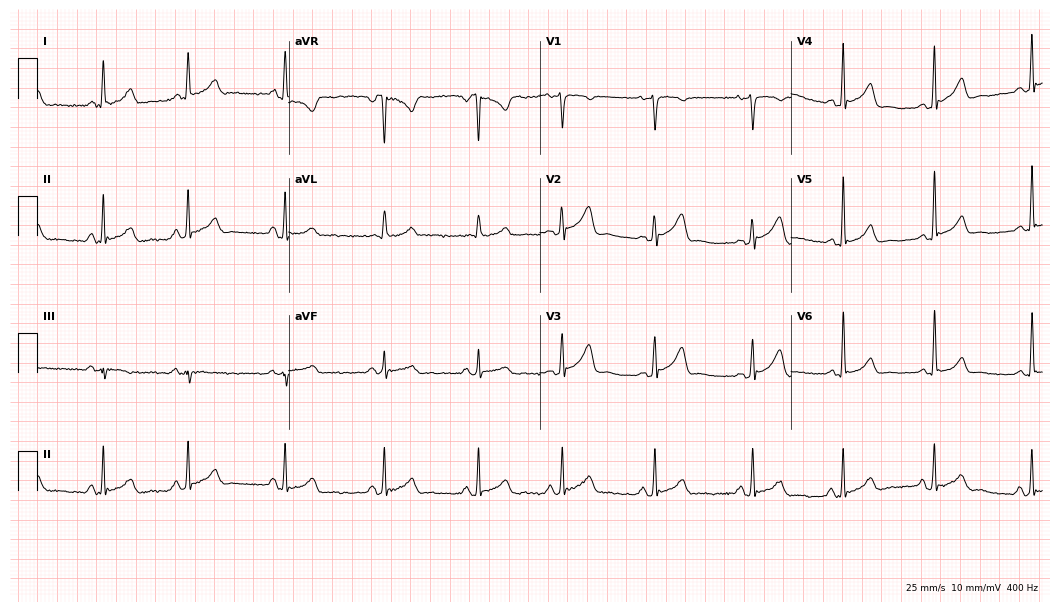
ECG — a 28-year-old woman. Screened for six findings — first-degree AV block, right bundle branch block (RBBB), left bundle branch block (LBBB), sinus bradycardia, atrial fibrillation (AF), sinus tachycardia — none is recorded.